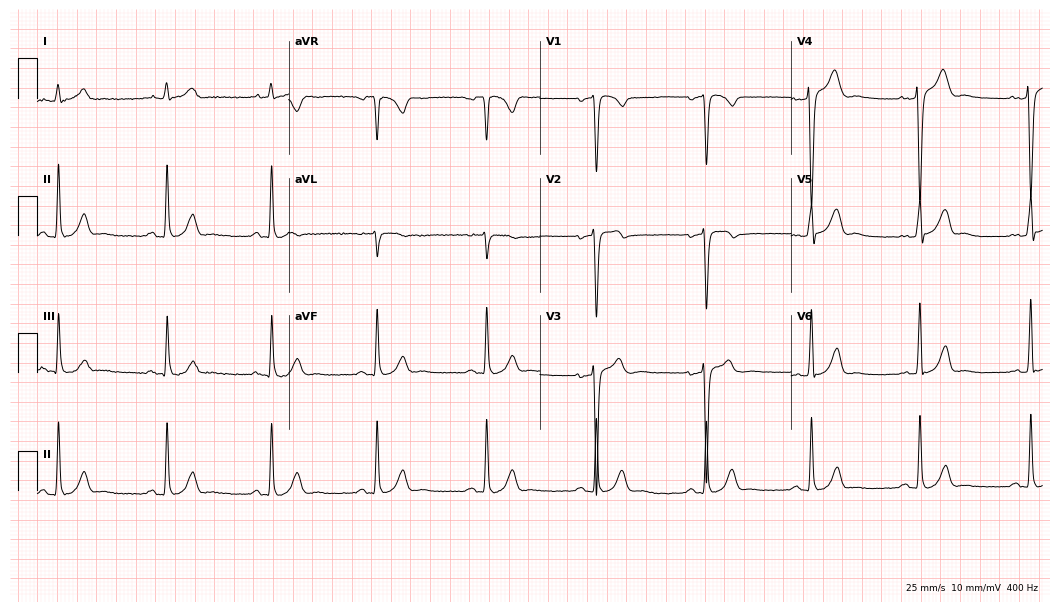
Resting 12-lead electrocardiogram (10.2-second recording at 400 Hz). Patient: a 45-year-old male. Read as a normal ECG.